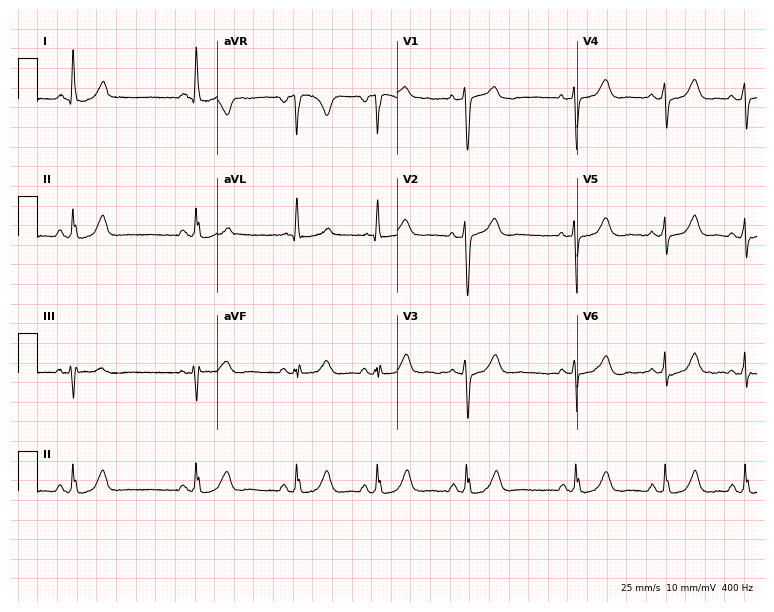
12-lead ECG from a female, 41 years old (7.3-second recording at 400 Hz). Recorded interpretation: within normal limits.